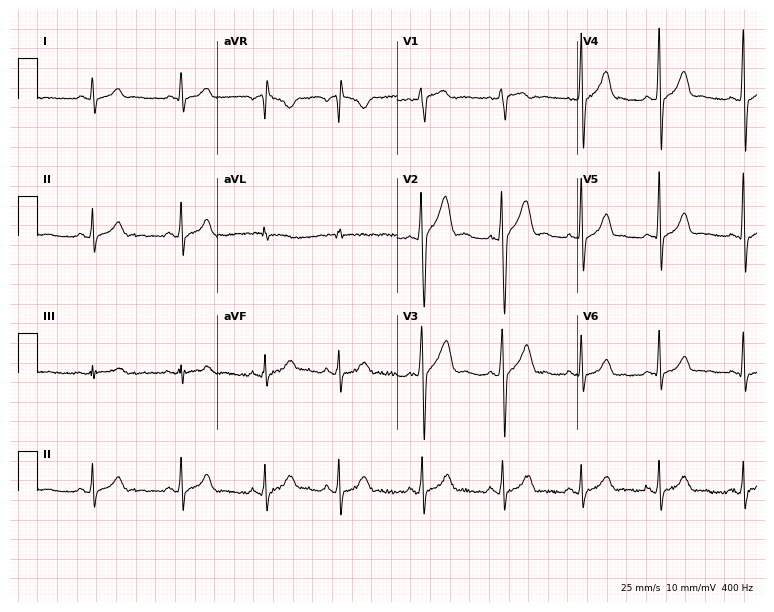
ECG (7.3-second recording at 400 Hz) — a 25-year-old male. Labelled as a normal ECG.